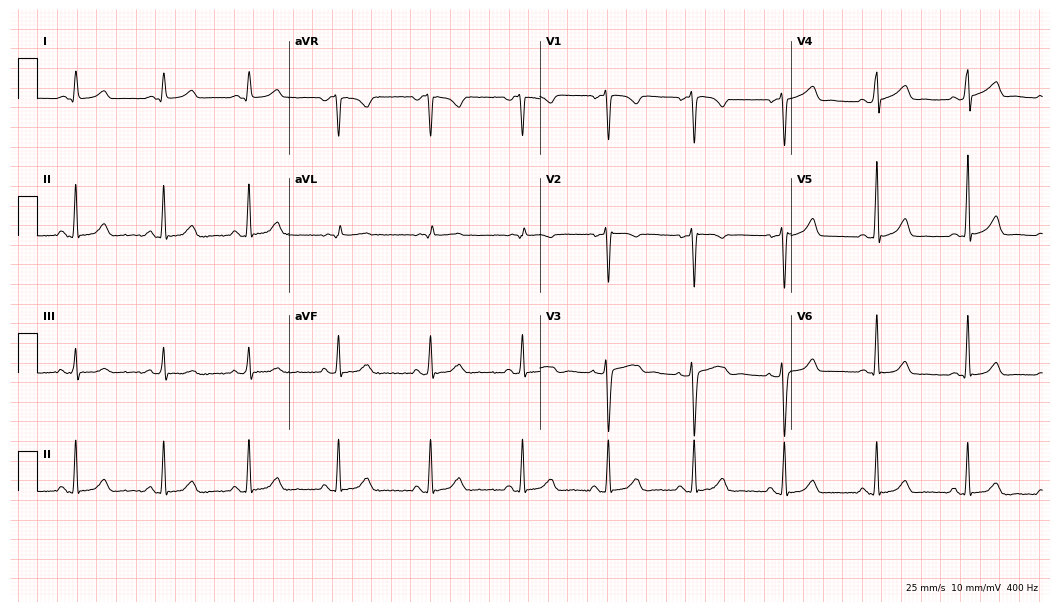
Resting 12-lead electrocardiogram. Patient: a 35-year-old female. None of these six findings is recorded: first-degree AV block, right bundle branch block, left bundle branch block, sinus bradycardia, atrial fibrillation, sinus tachycardia.